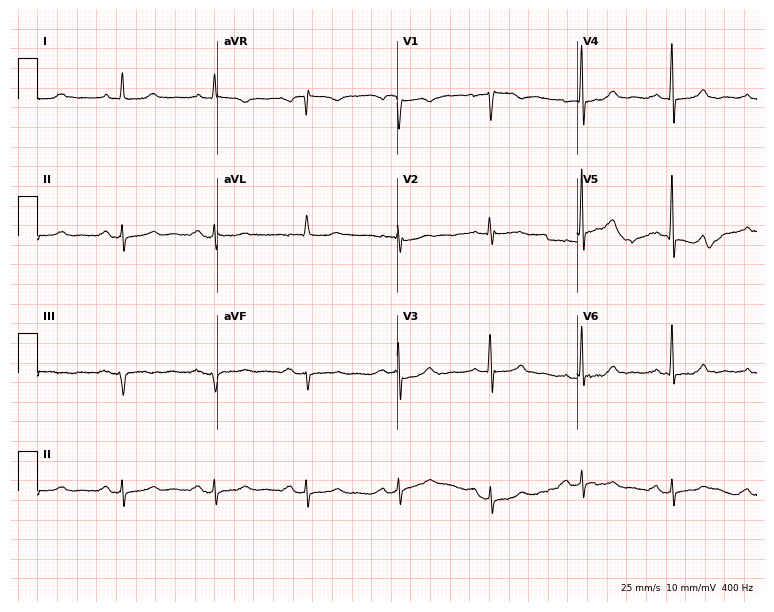
12-lead ECG from a male, 70 years old. Screened for six findings — first-degree AV block, right bundle branch block, left bundle branch block, sinus bradycardia, atrial fibrillation, sinus tachycardia — none is recorded. Findings outside these six are not listed.